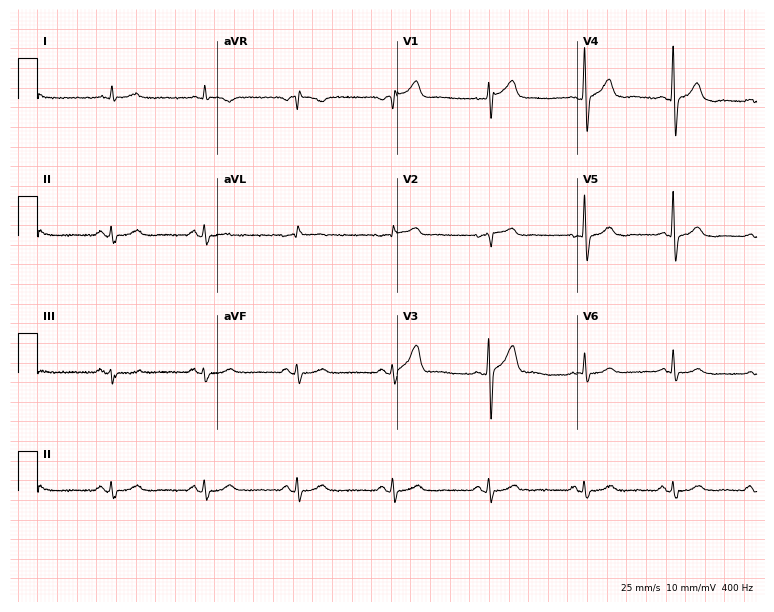
Resting 12-lead electrocardiogram (7.3-second recording at 400 Hz). Patient: a male, 63 years old. Read as a normal ECG.